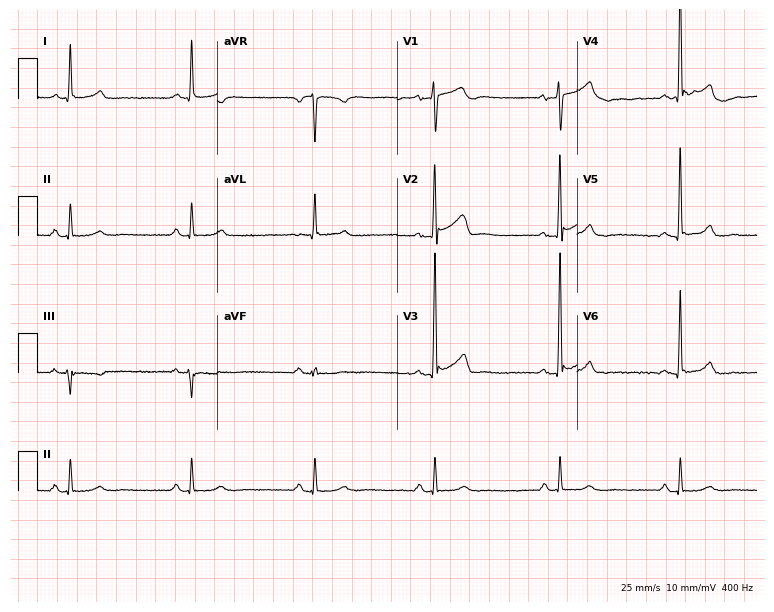
12-lead ECG from a man, 57 years old. Findings include sinus bradycardia (a sinus rate of 50 beats per minute or less).